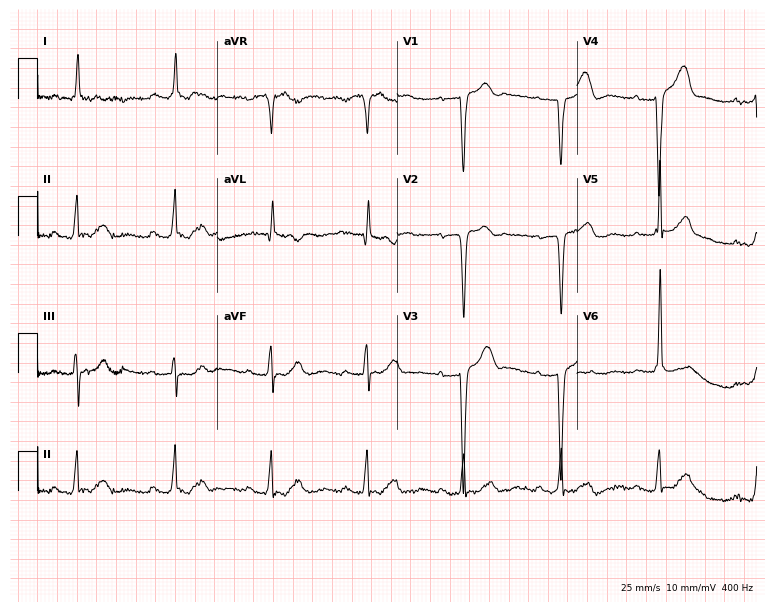
ECG (7.3-second recording at 400 Hz) — an 80-year-old man. Findings include first-degree AV block.